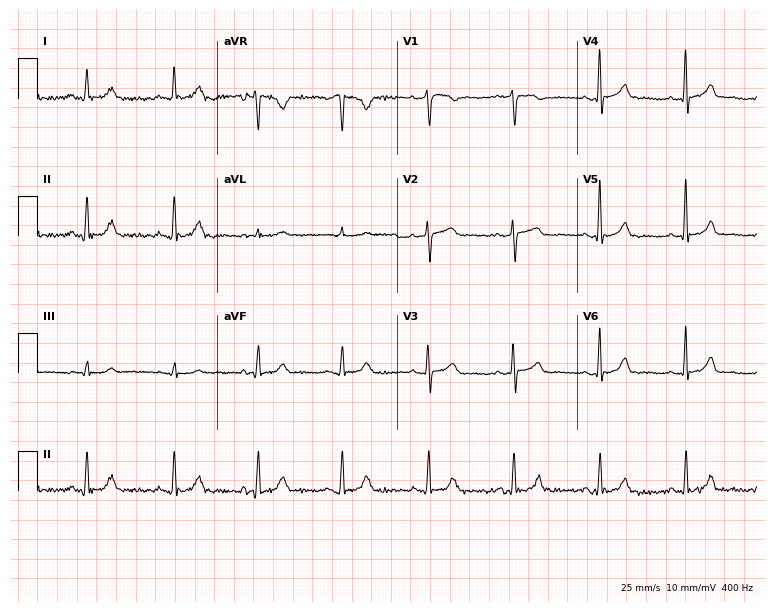
Resting 12-lead electrocardiogram (7.3-second recording at 400 Hz). Patient: a female, 61 years old. None of these six findings is recorded: first-degree AV block, right bundle branch block, left bundle branch block, sinus bradycardia, atrial fibrillation, sinus tachycardia.